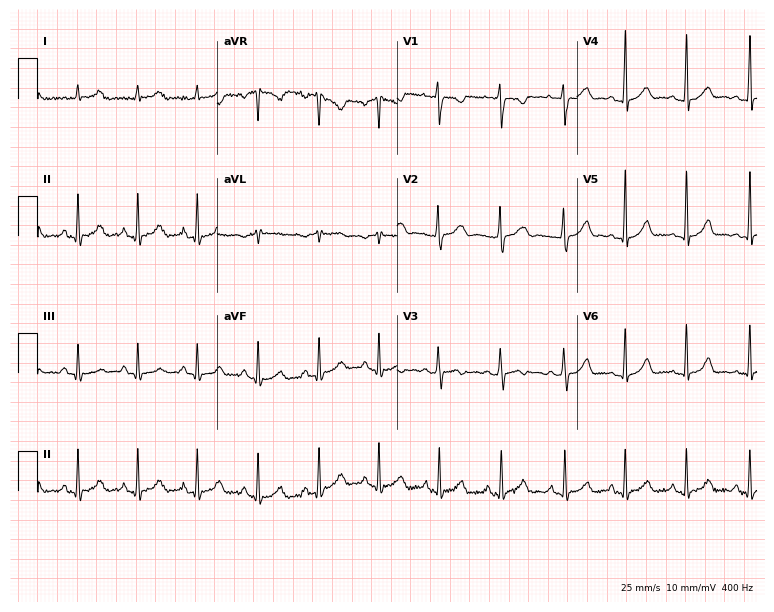
Electrocardiogram, a 21-year-old woman. Overall reading on record: normal ECG.